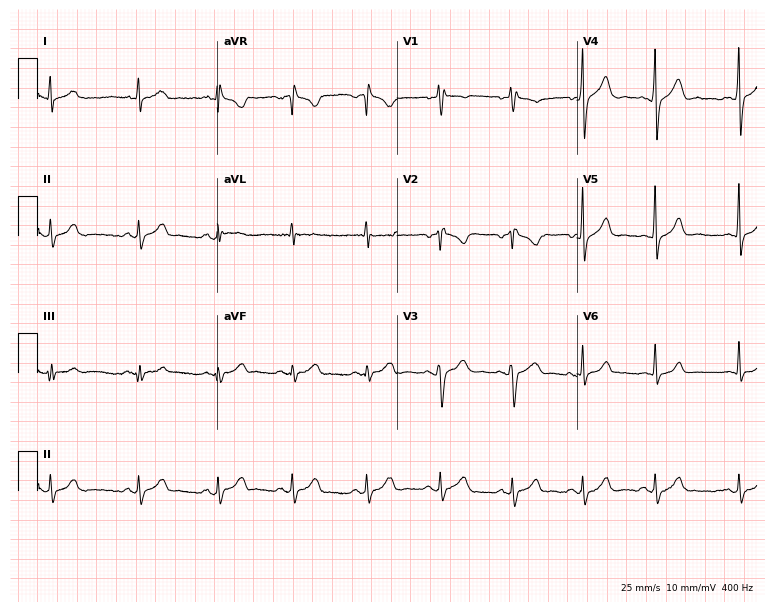
12-lead ECG from a 23-year-old man. Screened for six findings — first-degree AV block, right bundle branch block, left bundle branch block, sinus bradycardia, atrial fibrillation, sinus tachycardia — none is recorded. Findings outside these six are not listed.